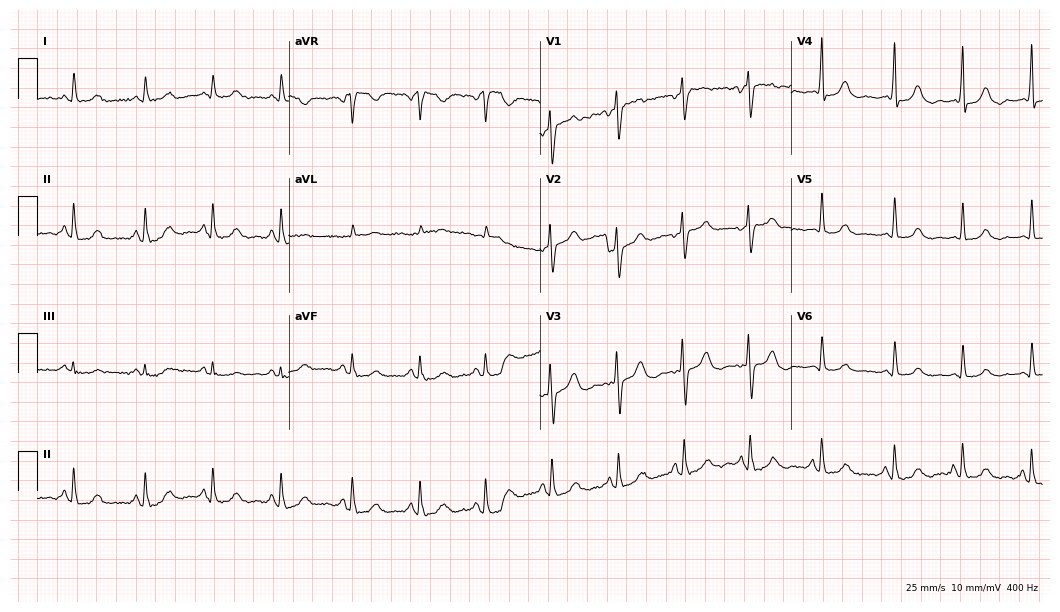
ECG (10.2-second recording at 400 Hz) — a 44-year-old female. Screened for six findings — first-degree AV block, right bundle branch block, left bundle branch block, sinus bradycardia, atrial fibrillation, sinus tachycardia — none is recorded. Other findings, if any, are not listed.